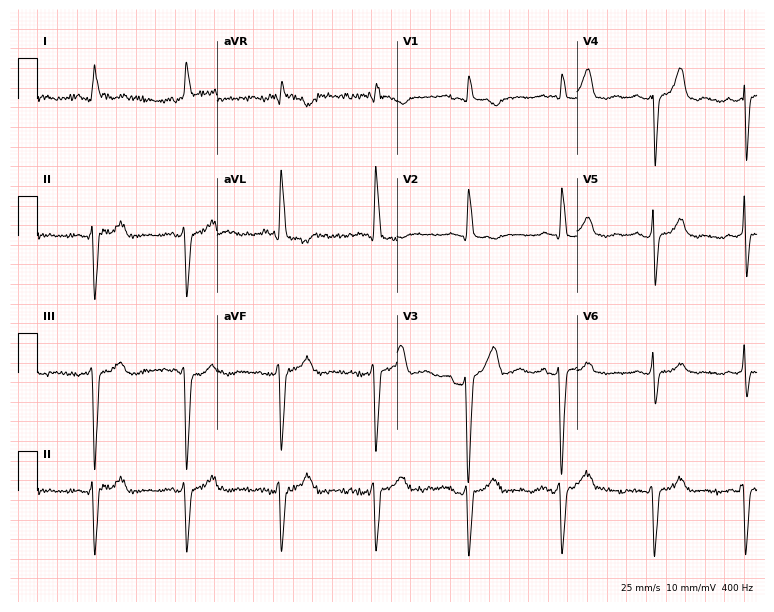
ECG — a male patient, 67 years old. Screened for six findings — first-degree AV block, right bundle branch block, left bundle branch block, sinus bradycardia, atrial fibrillation, sinus tachycardia — none is recorded.